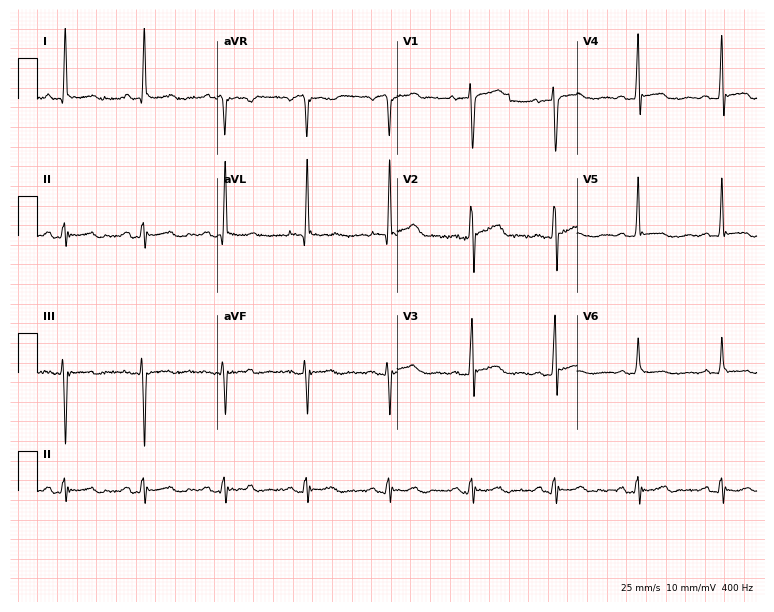
Electrocardiogram (7.3-second recording at 400 Hz), a male patient, 67 years old. Of the six screened findings (first-degree AV block, right bundle branch block, left bundle branch block, sinus bradycardia, atrial fibrillation, sinus tachycardia), none is recorded.